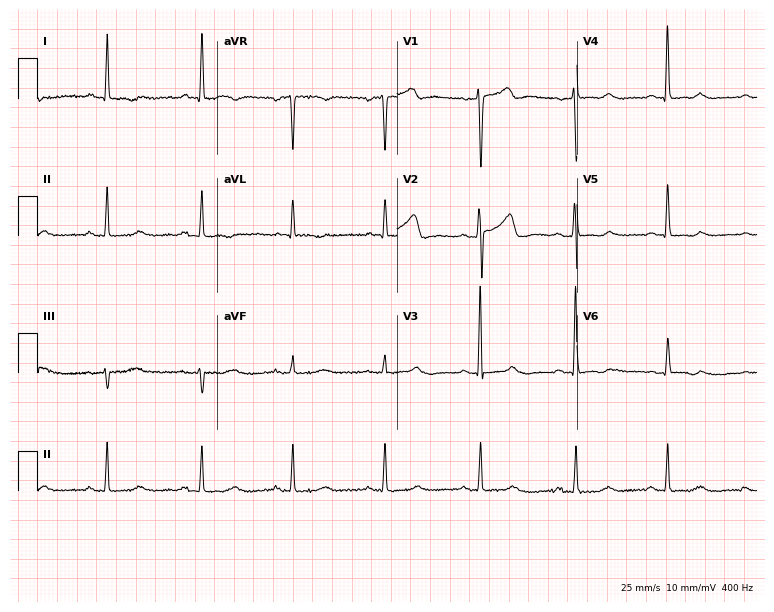
Resting 12-lead electrocardiogram (7.3-second recording at 400 Hz). Patient: a 67-year-old female. Read as a normal ECG.